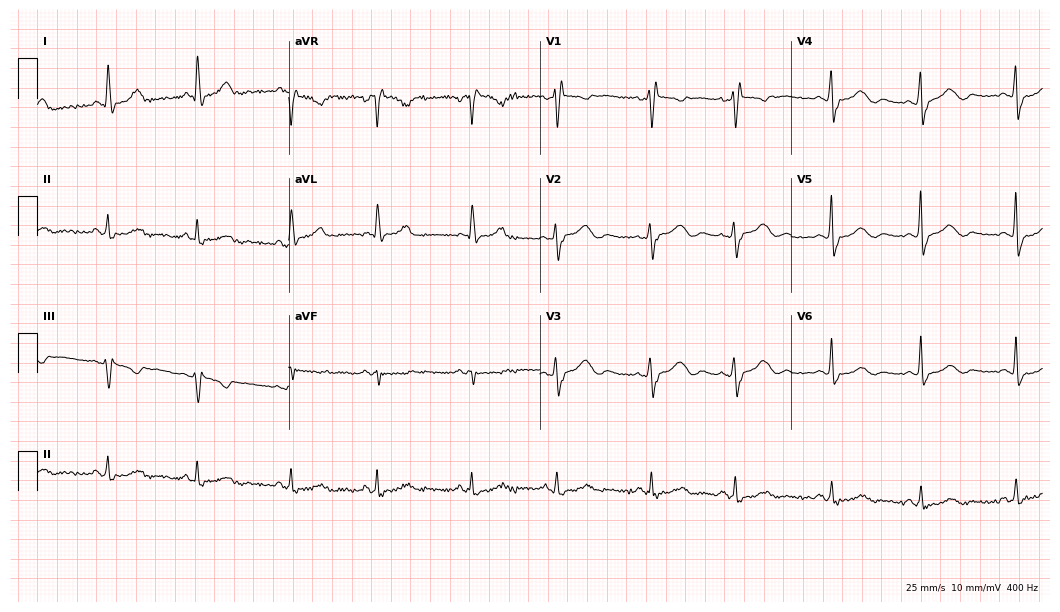
12-lead ECG from a female patient, 69 years old (10.2-second recording at 400 Hz). No first-degree AV block, right bundle branch block, left bundle branch block, sinus bradycardia, atrial fibrillation or sinus tachycardia recorded for this tracing.